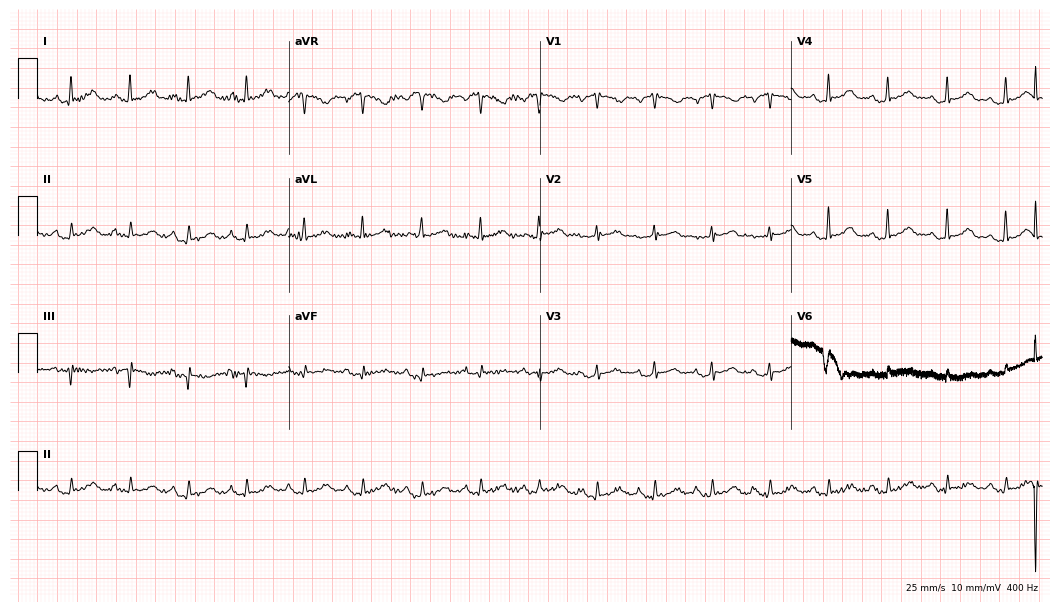
Standard 12-lead ECG recorded from a woman, 64 years old. None of these six findings is recorded: first-degree AV block, right bundle branch block, left bundle branch block, sinus bradycardia, atrial fibrillation, sinus tachycardia. Only these six findings were labelled.